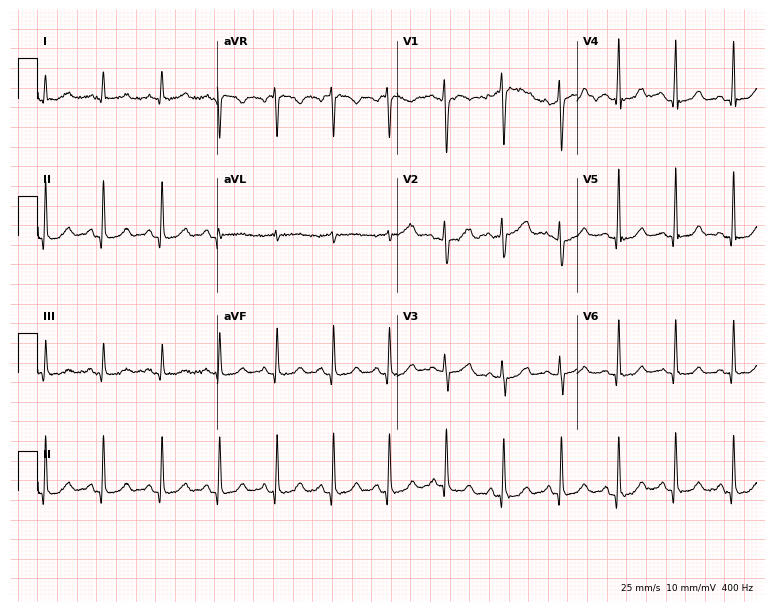
Electrocardiogram (7.3-second recording at 400 Hz), a female, 44 years old. Of the six screened findings (first-degree AV block, right bundle branch block (RBBB), left bundle branch block (LBBB), sinus bradycardia, atrial fibrillation (AF), sinus tachycardia), none is recorded. Only these six findings were labelled.